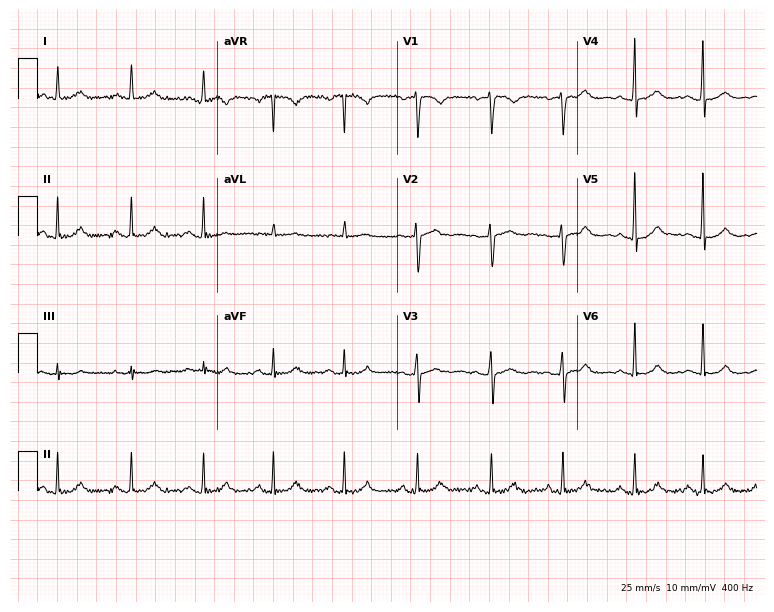
Standard 12-lead ECG recorded from a female patient, 40 years old (7.3-second recording at 400 Hz). Read as a normal ECG.